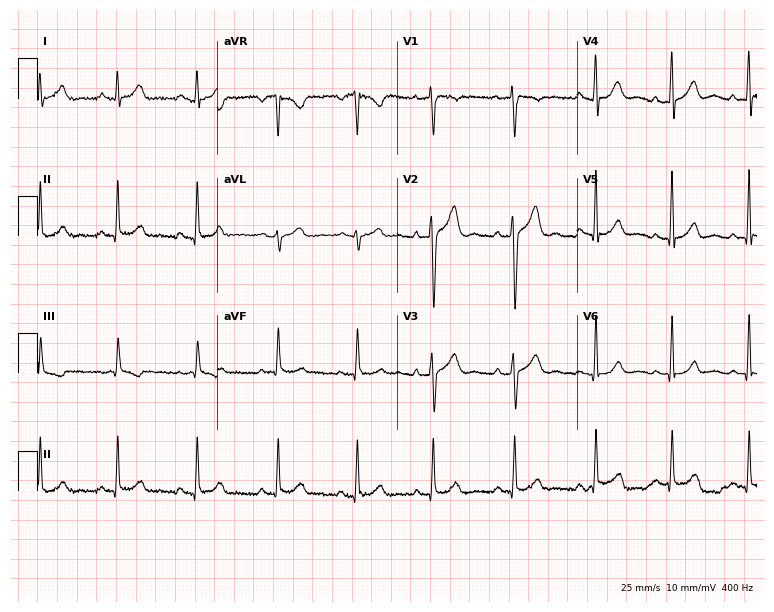
Electrocardiogram (7.3-second recording at 400 Hz), a 40-year-old man. Overall reading on record: normal ECG.